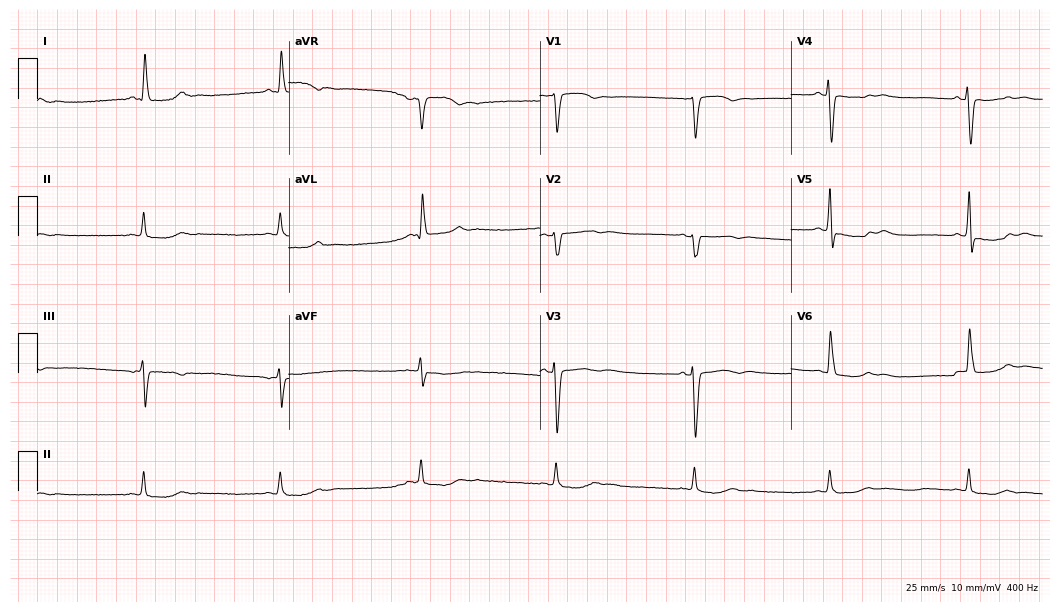
ECG — a 68-year-old female patient. Findings include sinus bradycardia (a sinus rate of 50 beats per minute or less).